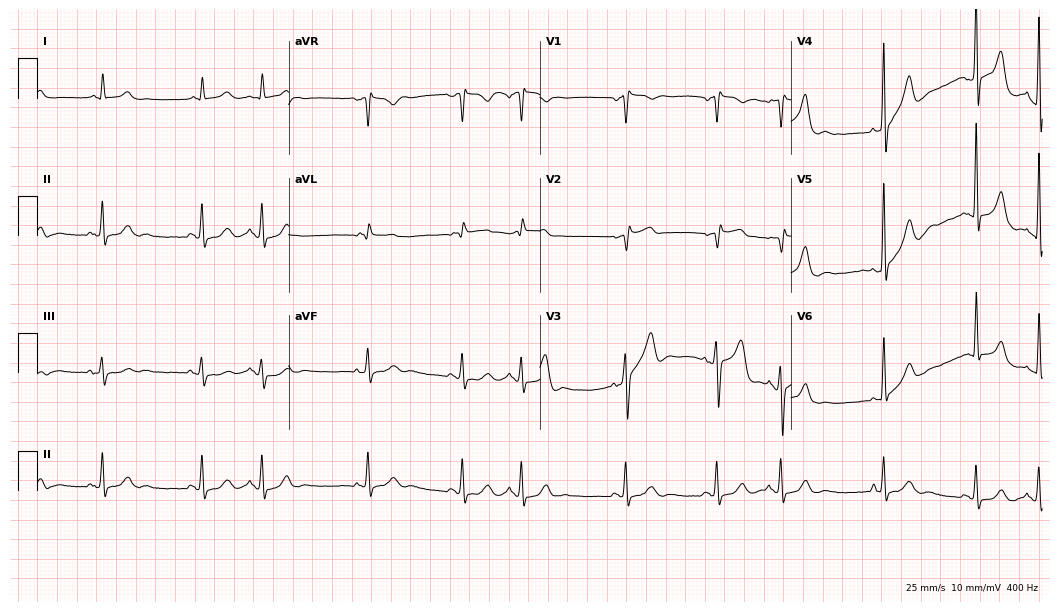
12-lead ECG (10.2-second recording at 400 Hz) from a 68-year-old man. Screened for six findings — first-degree AV block, right bundle branch block, left bundle branch block, sinus bradycardia, atrial fibrillation, sinus tachycardia — none is recorded.